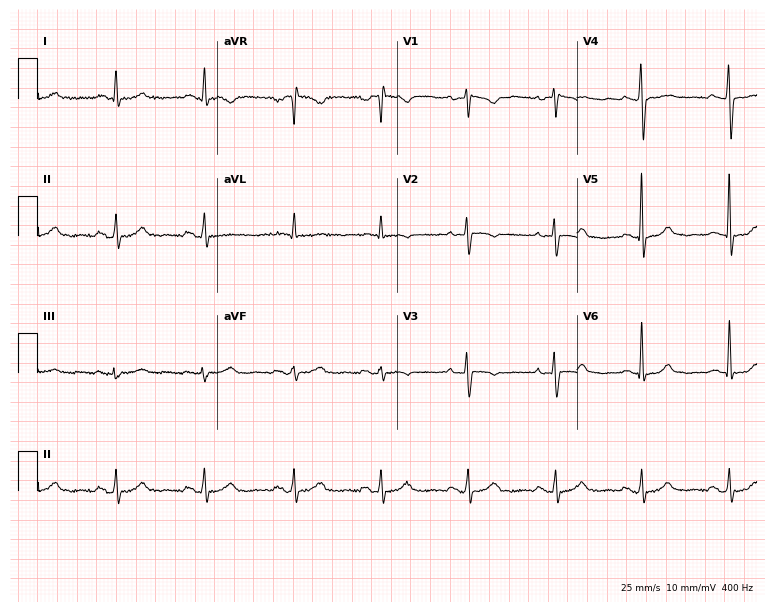
12-lead ECG from a 56-year-old female. No first-degree AV block, right bundle branch block (RBBB), left bundle branch block (LBBB), sinus bradycardia, atrial fibrillation (AF) or sinus tachycardia recorded for this tracing. Other findings, if any, are not listed.